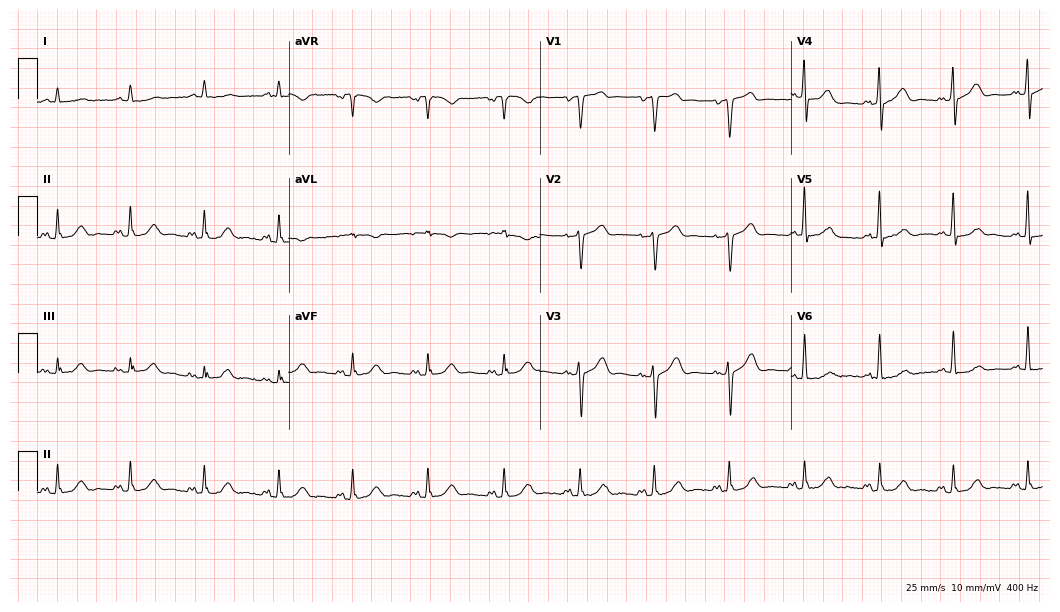
Standard 12-lead ECG recorded from a 78-year-old male patient (10.2-second recording at 400 Hz). Read as a normal ECG.